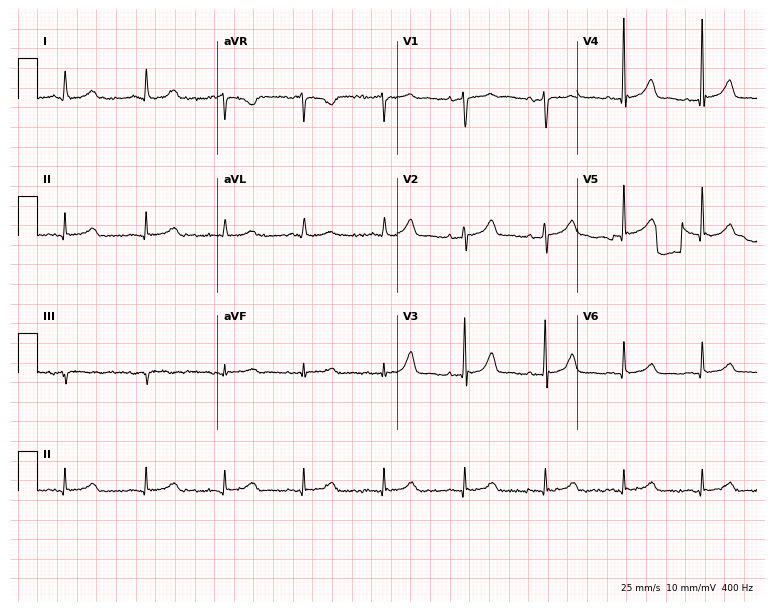
Electrocardiogram, a 78-year-old female patient. Overall reading on record: normal ECG.